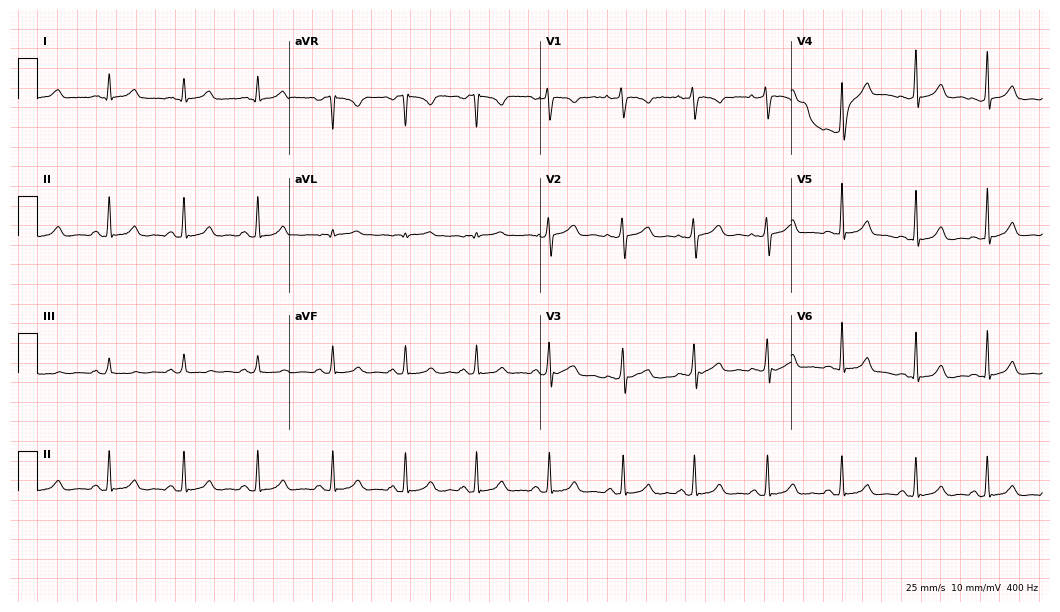
12-lead ECG from a 25-year-old female patient (10.2-second recording at 400 Hz). No first-degree AV block, right bundle branch block, left bundle branch block, sinus bradycardia, atrial fibrillation or sinus tachycardia recorded for this tracing.